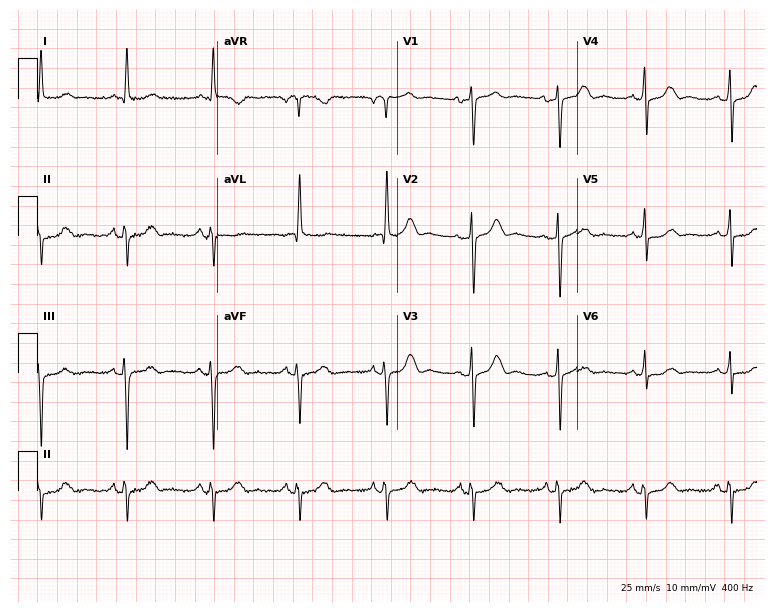
Resting 12-lead electrocardiogram. Patient: a female, 73 years old. None of these six findings is recorded: first-degree AV block, right bundle branch block, left bundle branch block, sinus bradycardia, atrial fibrillation, sinus tachycardia. Findings outside these six are not listed.